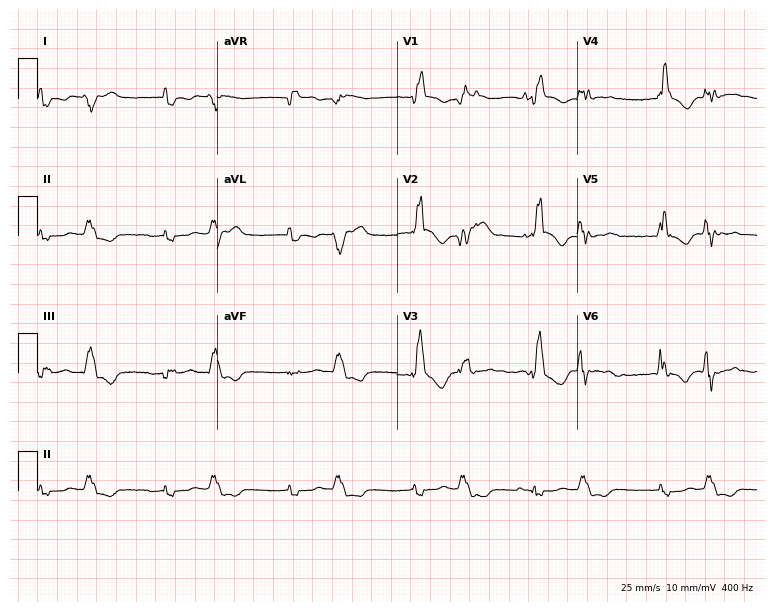
12-lead ECG from a male, 64 years old (7.3-second recording at 400 Hz). Shows right bundle branch block.